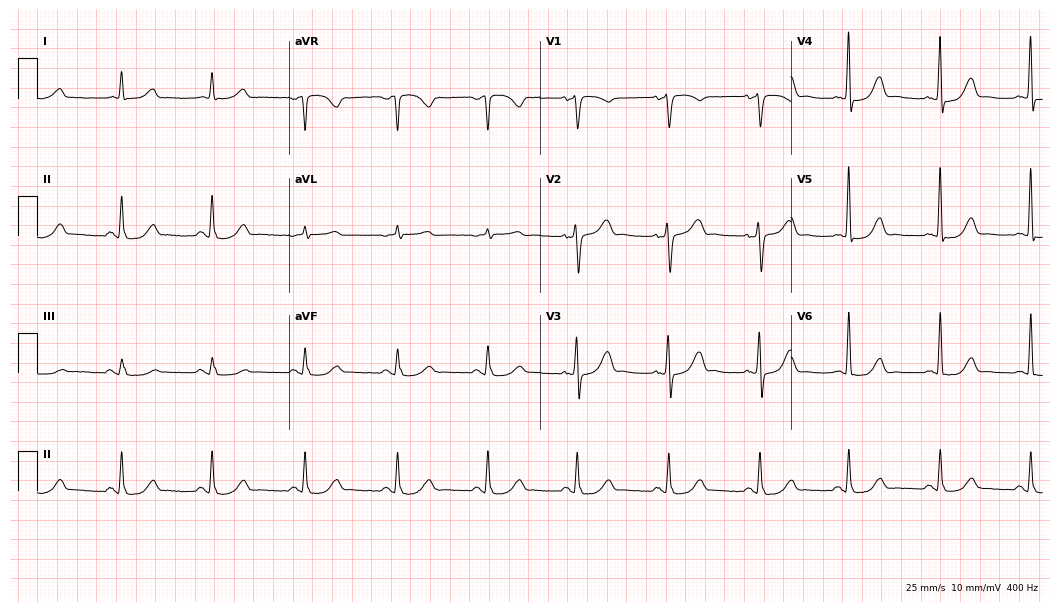
12-lead ECG from a female, 69 years old (10.2-second recording at 400 Hz). Recorded interpretation: within normal limits.